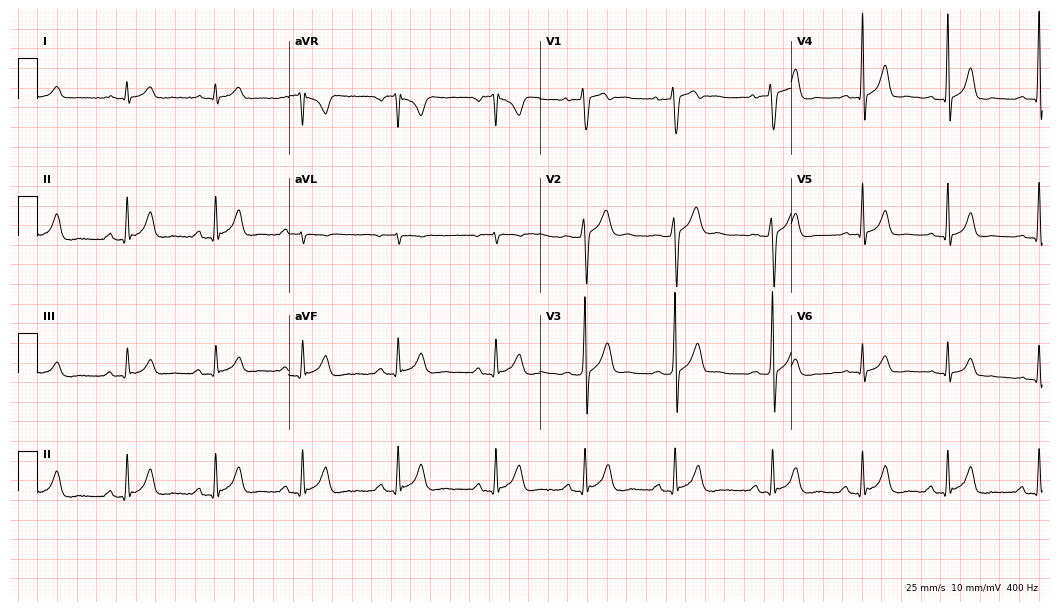
Standard 12-lead ECG recorded from a male patient, 22 years old. Read as a normal ECG.